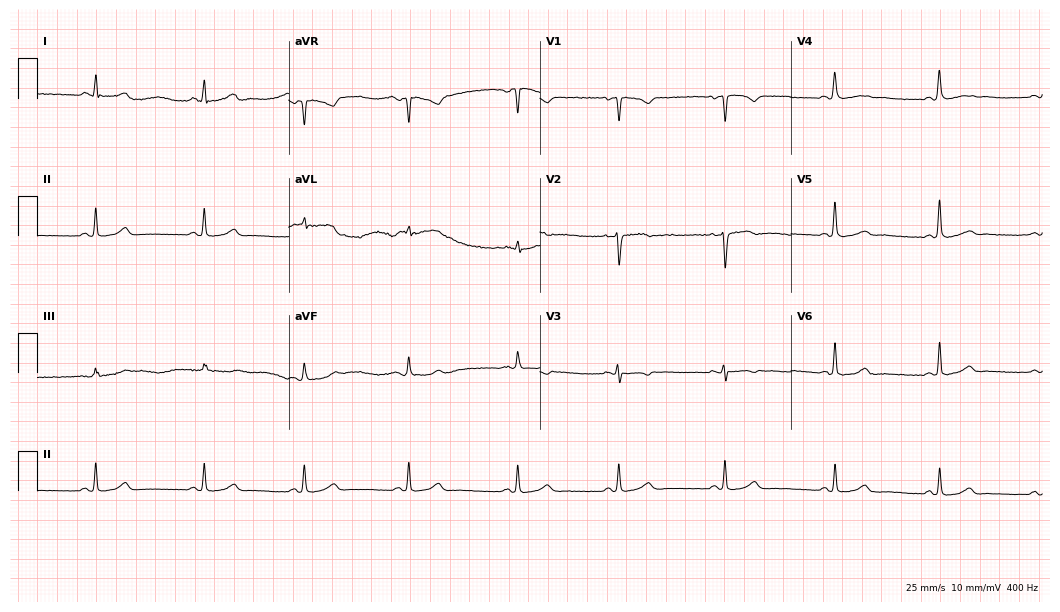
ECG (10.2-second recording at 400 Hz) — a woman, 26 years old. Labelled as a normal ECG.